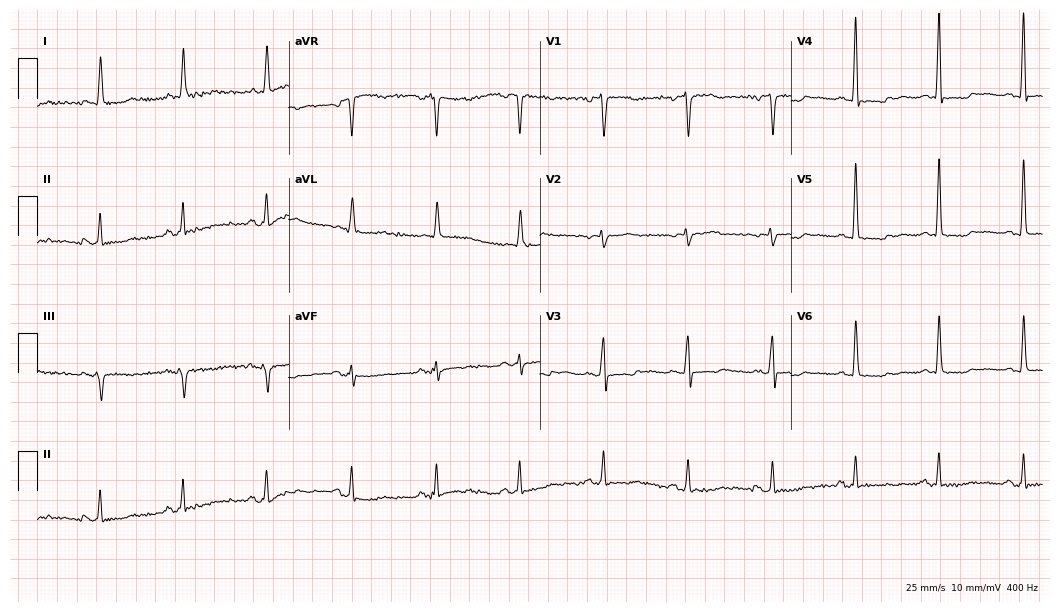
Electrocardiogram, a 79-year-old female. Of the six screened findings (first-degree AV block, right bundle branch block (RBBB), left bundle branch block (LBBB), sinus bradycardia, atrial fibrillation (AF), sinus tachycardia), none is recorded. Only these six findings were labelled.